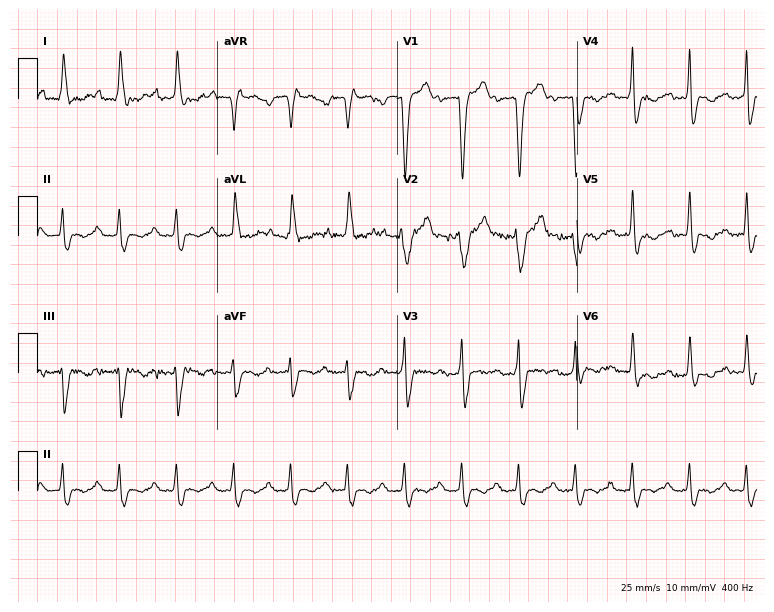
ECG (7.3-second recording at 400 Hz) — an 84-year-old male patient. Screened for six findings — first-degree AV block, right bundle branch block, left bundle branch block, sinus bradycardia, atrial fibrillation, sinus tachycardia — none is recorded. Findings outside these six are not listed.